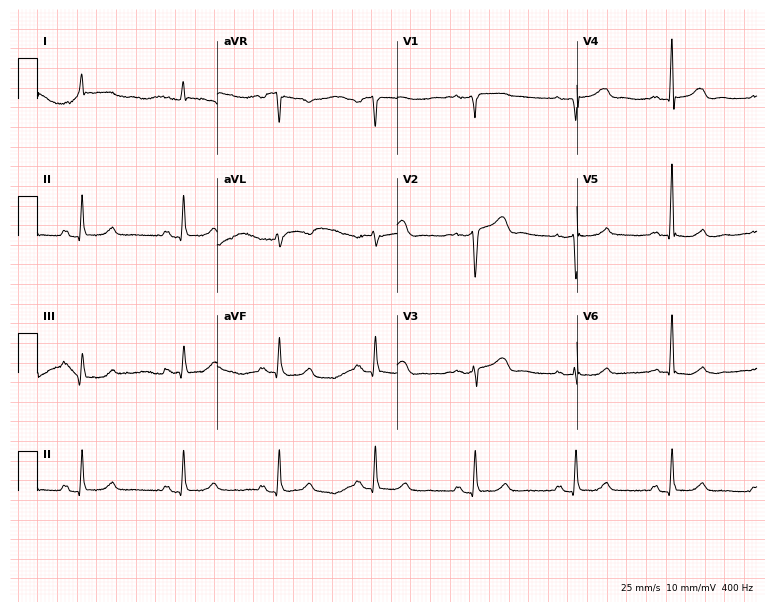
Resting 12-lead electrocardiogram (7.3-second recording at 400 Hz). Patient: a 51-year-old woman. Read as a normal ECG.